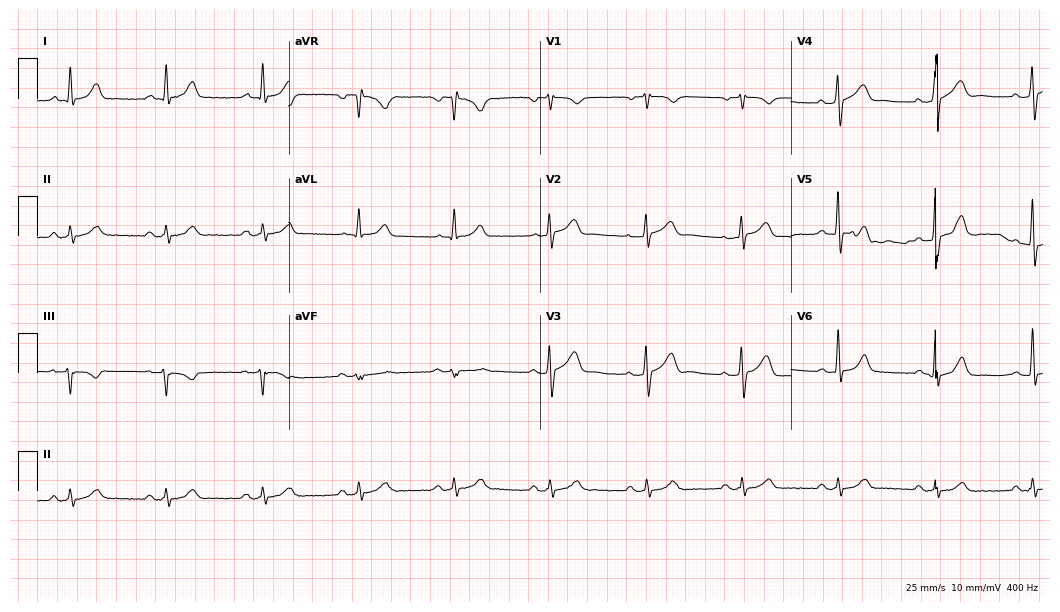
Electrocardiogram (10.2-second recording at 400 Hz), a male patient, 55 years old. Overall reading on record: normal ECG.